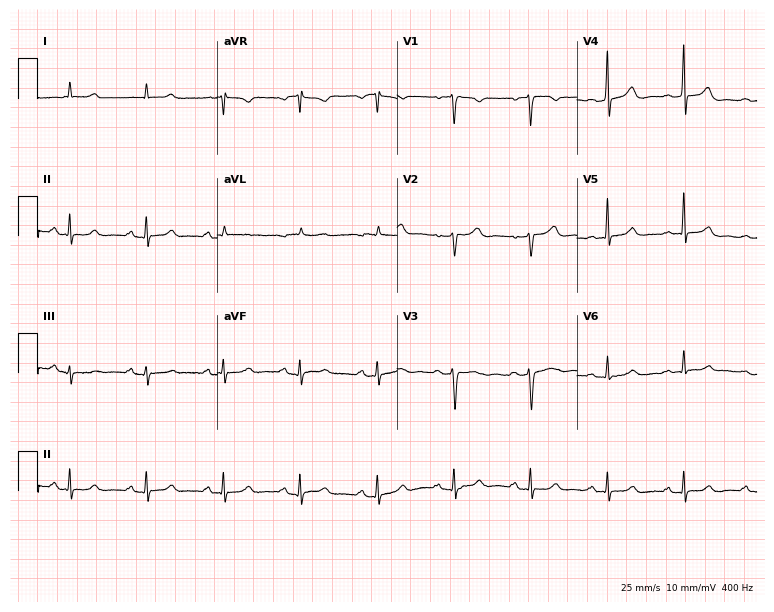
ECG — a 73-year-old female patient. Screened for six findings — first-degree AV block, right bundle branch block, left bundle branch block, sinus bradycardia, atrial fibrillation, sinus tachycardia — none is recorded.